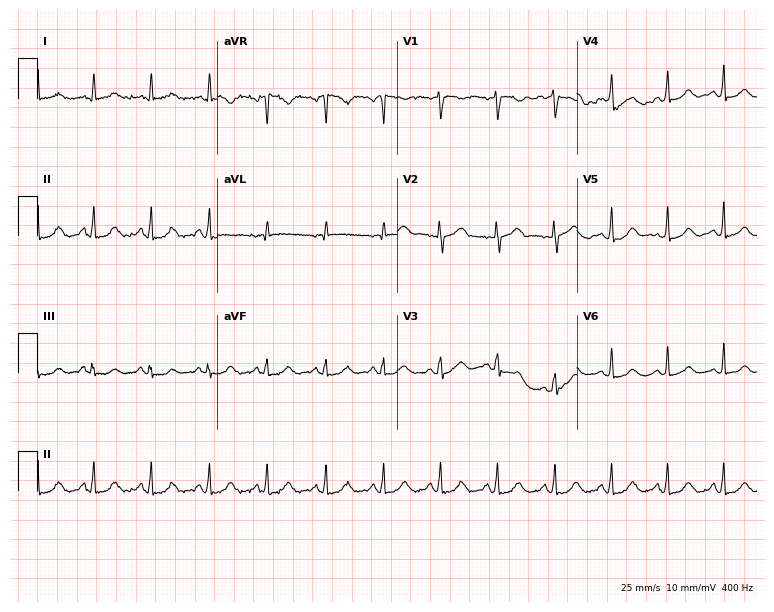
ECG (7.3-second recording at 400 Hz) — a female, 28 years old. Findings include sinus tachycardia (a sinus rate of 100 beats per minute or more).